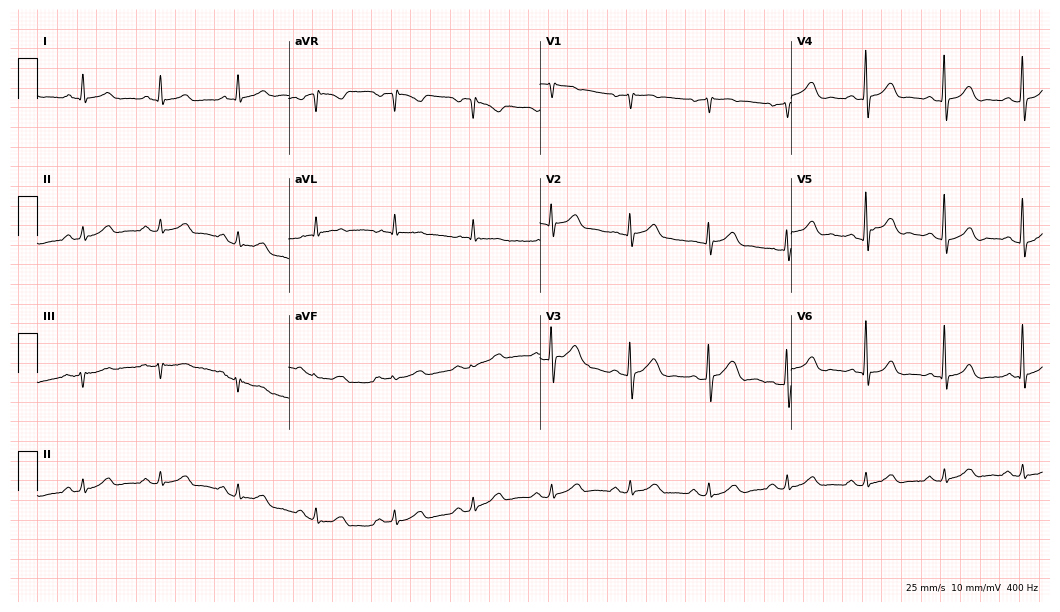
ECG — a female, 75 years old. Labelled as a normal ECG.